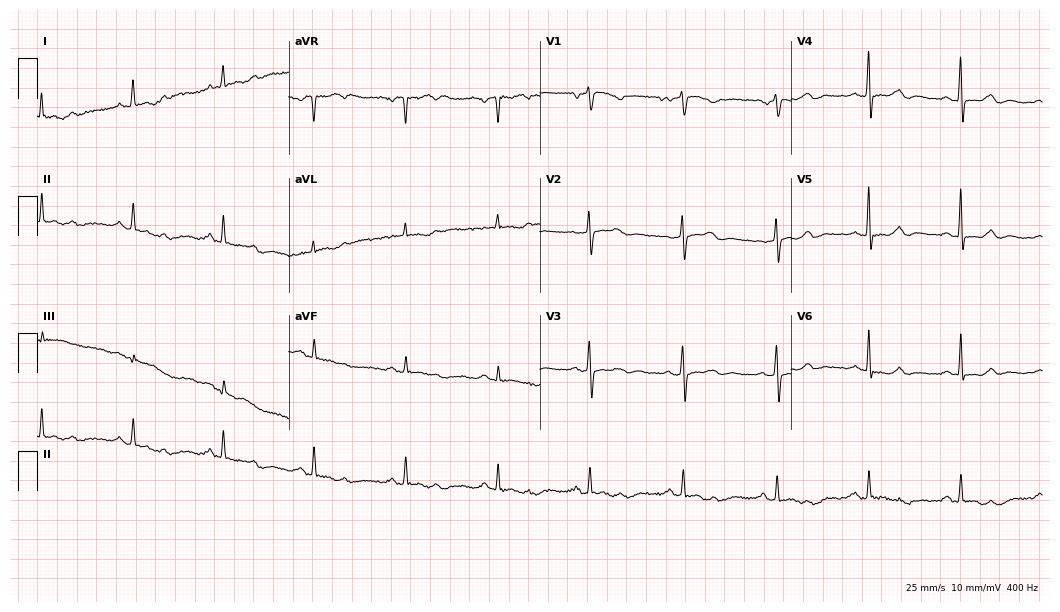
Resting 12-lead electrocardiogram. Patient: a female, 62 years old. Read as a normal ECG.